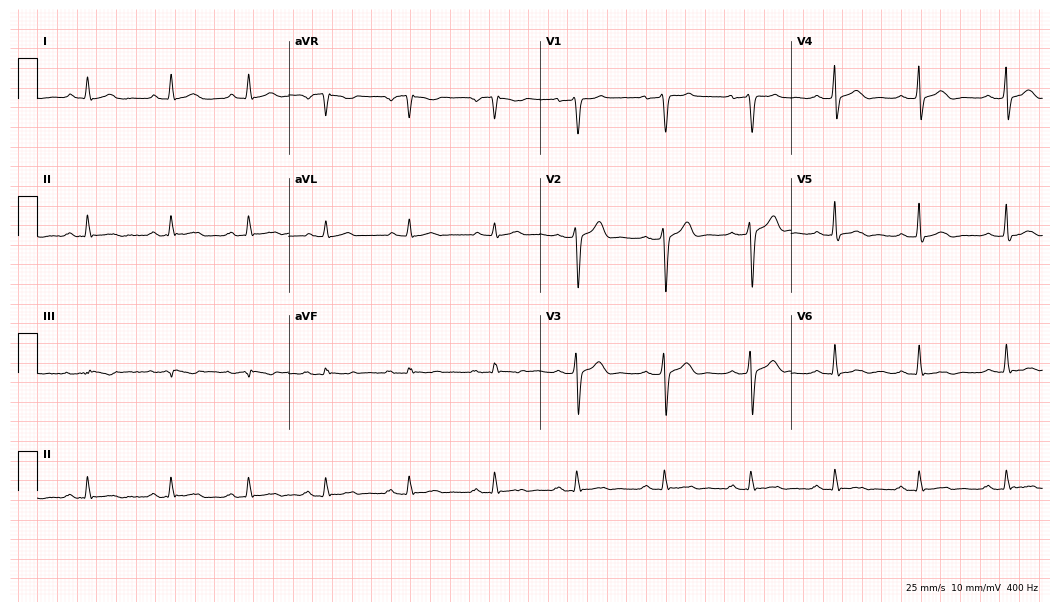
Standard 12-lead ECG recorded from a man, 40 years old. None of these six findings is recorded: first-degree AV block, right bundle branch block (RBBB), left bundle branch block (LBBB), sinus bradycardia, atrial fibrillation (AF), sinus tachycardia. Other findings, if any, are not listed.